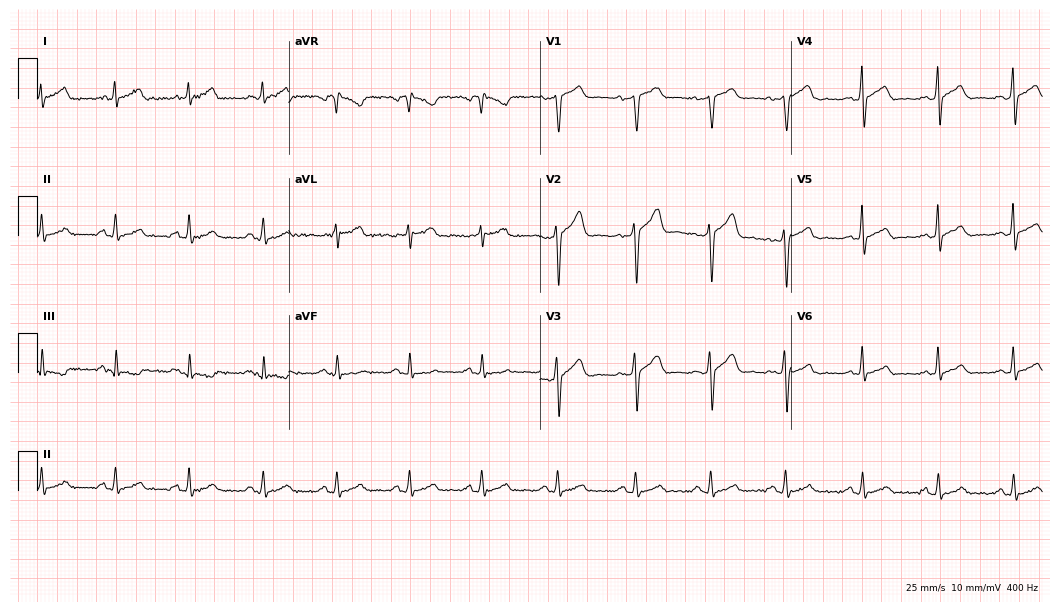
Resting 12-lead electrocardiogram. Patient: a 39-year-old man. Read as a normal ECG.